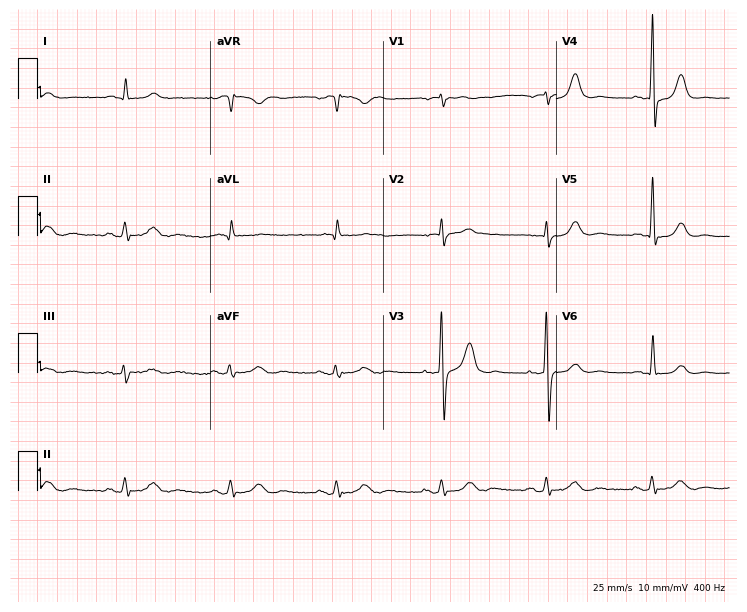
Electrocardiogram, a 79-year-old man. Of the six screened findings (first-degree AV block, right bundle branch block, left bundle branch block, sinus bradycardia, atrial fibrillation, sinus tachycardia), none is recorded.